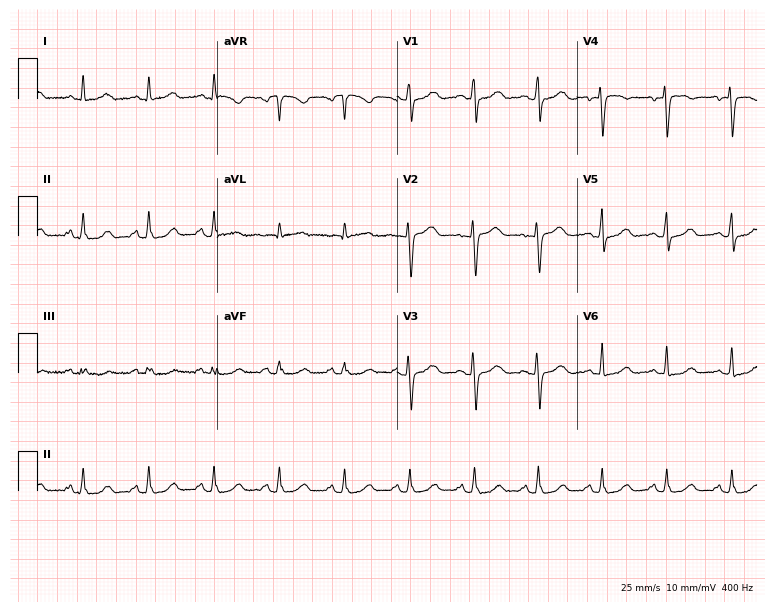
Standard 12-lead ECG recorded from a female, 51 years old (7.3-second recording at 400 Hz). Read as a normal ECG.